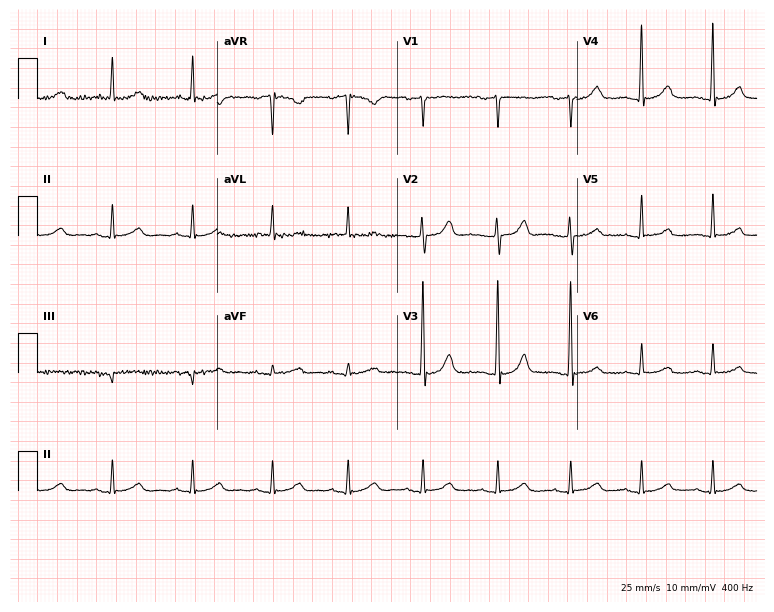
Standard 12-lead ECG recorded from an 82-year-old woman (7.3-second recording at 400 Hz). Read as a normal ECG.